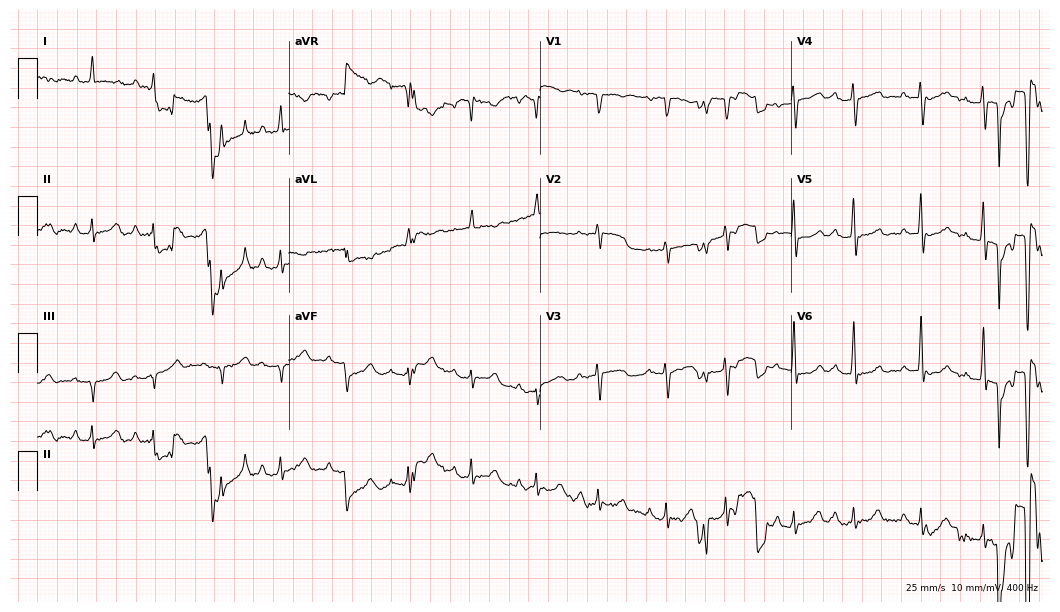
ECG (10.2-second recording at 400 Hz) — a woman, 77 years old. Labelled as a normal ECG.